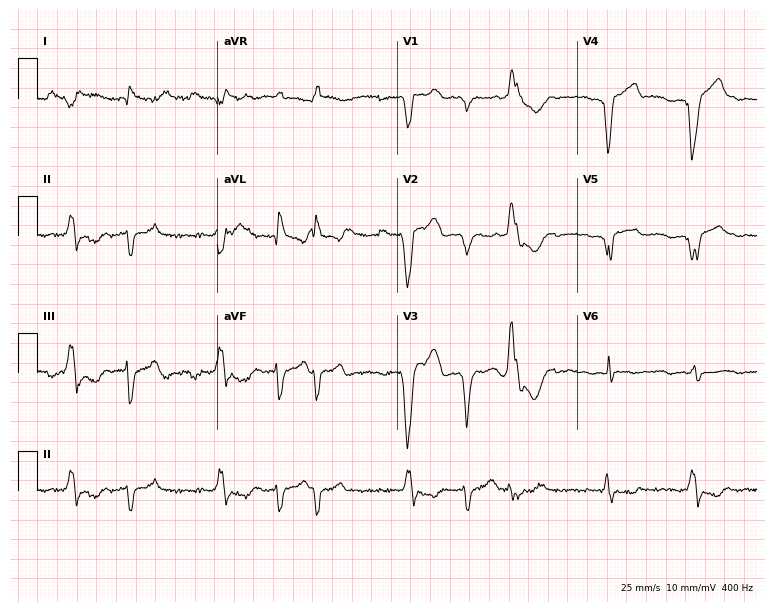
Resting 12-lead electrocardiogram (7.3-second recording at 400 Hz). Patient: a man, 68 years old. None of these six findings is recorded: first-degree AV block, right bundle branch block, left bundle branch block, sinus bradycardia, atrial fibrillation, sinus tachycardia.